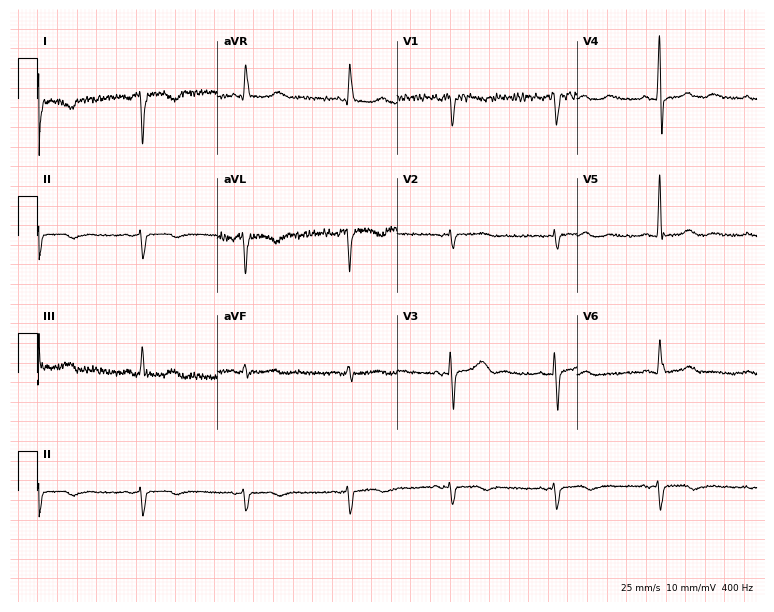
Standard 12-lead ECG recorded from a female patient, 67 years old (7.3-second recording at 400 Hz). None of these six findings is recorded: first-degree AV block, right bundle branch block, left bundle branch block, sinus bradycardia, atrial fibrillation, sinus tachycardia. Findings outside these six are not listed.